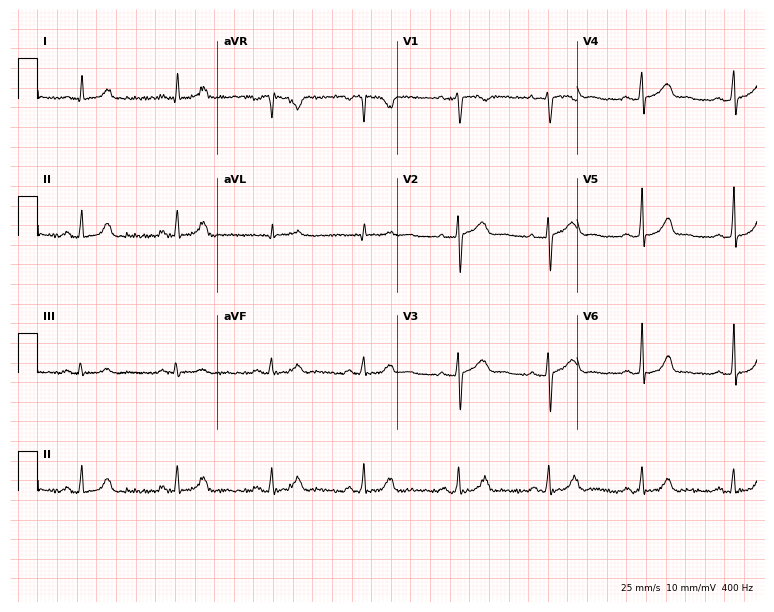
ECG (7.3-second recording at 400 Hz) — a 33-year-old female patient. Labelled as a normal ECG.